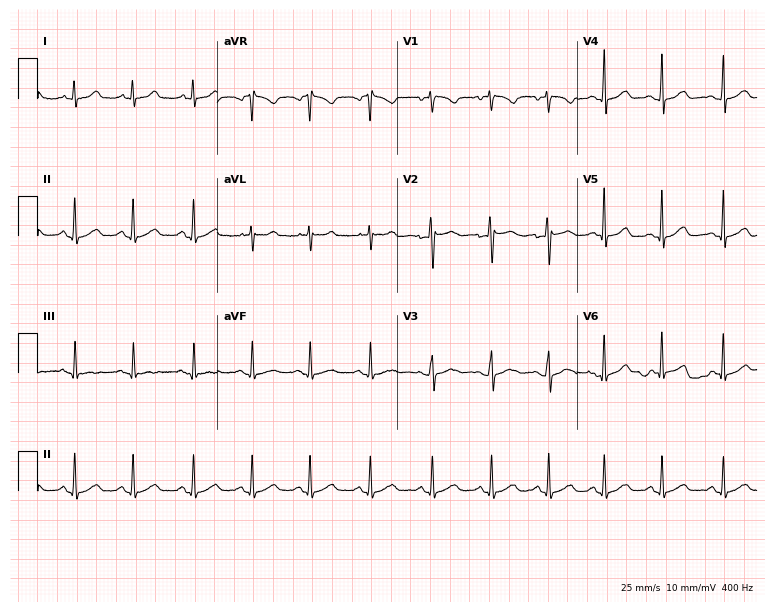
12-lead ECG from a female patient, 19 years old. Recorded interpretation: within normal limits.